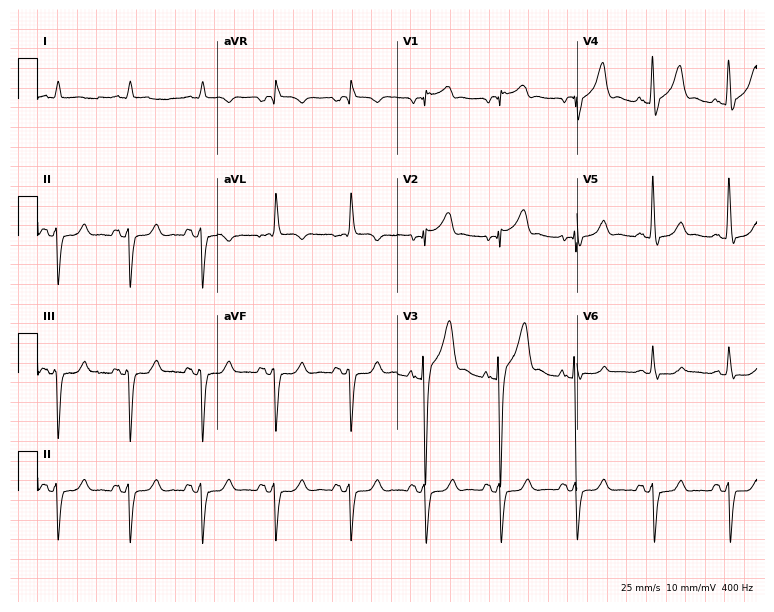
ECG (7.3-second recording at 400 Hz) — a man, 76 years old. Screened for six findings — first-degree AV block, right bundle branch block (RBBB), left bundle branch block (LBBB), sinus bradycardia, atrial fibrillation (AF), sinus tachycardia — none is recorded. Only these six findings were labelled.